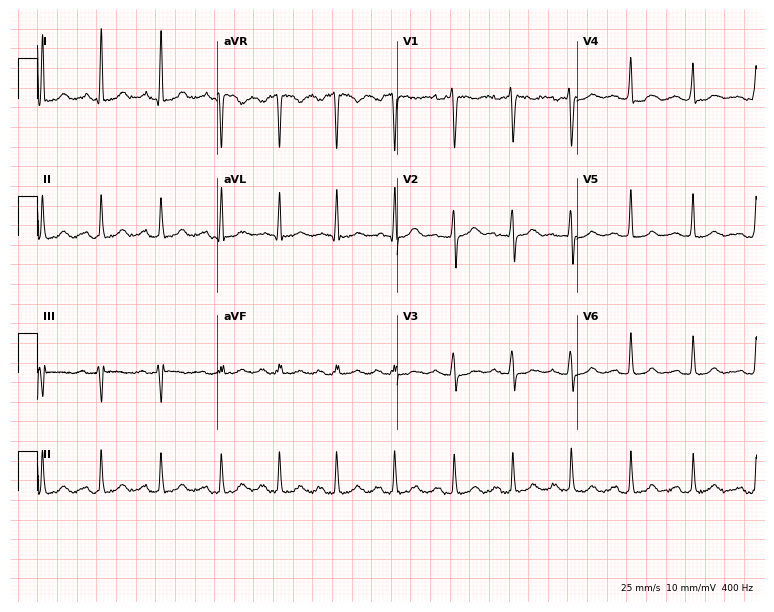
Standard 12-lead ECG recorded from a 36-year-old female (7.3-second recording at 400 Hz). None of these six findings is recorded: first-degree AV block, right bundle branch block, left bundle branch block, sinus bradycardia, atrial fibrillation, sinus tachycardia. Findings outside these six are not listed.